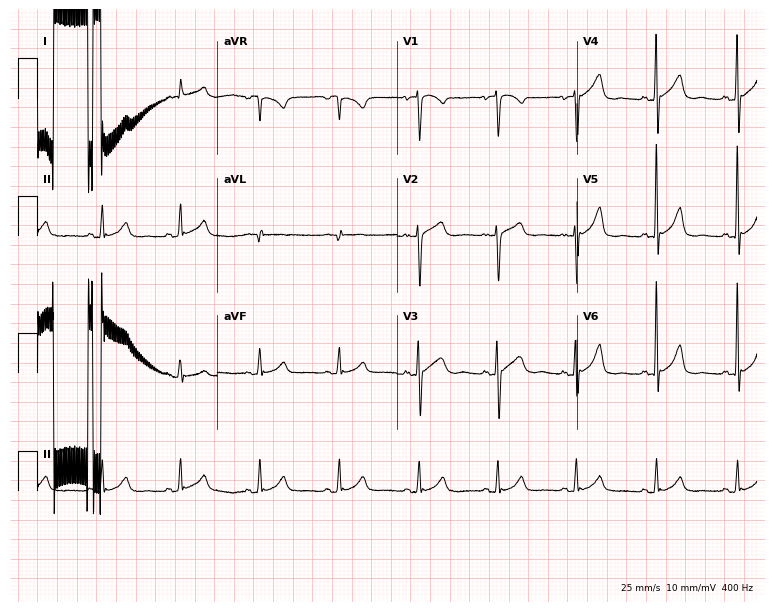
Electrocardiogram, a female patient, 69 years old. Of the six screened findings (first-degree AV block, right bundle branch block, left bundle branch block, sinus bradycardia, atrial fibrillation, sinus tachycardia), none is recorded.